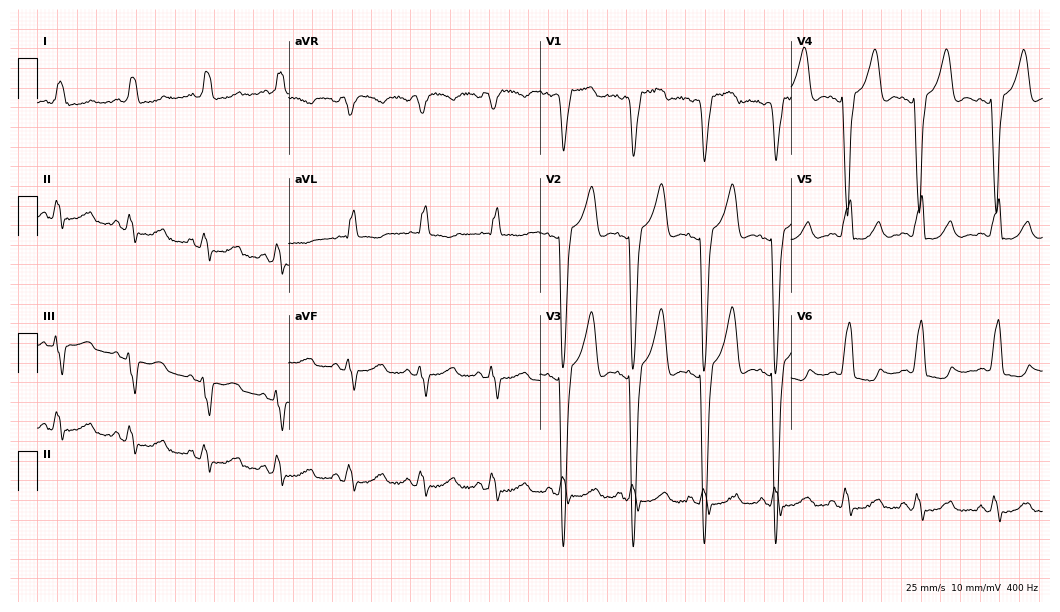
Resting 12-lead electrocardiogram (10.2-second recording at 400 Hz). Patient: a female, 46 years old. The tracing shows left bundle branch block (LBBB).